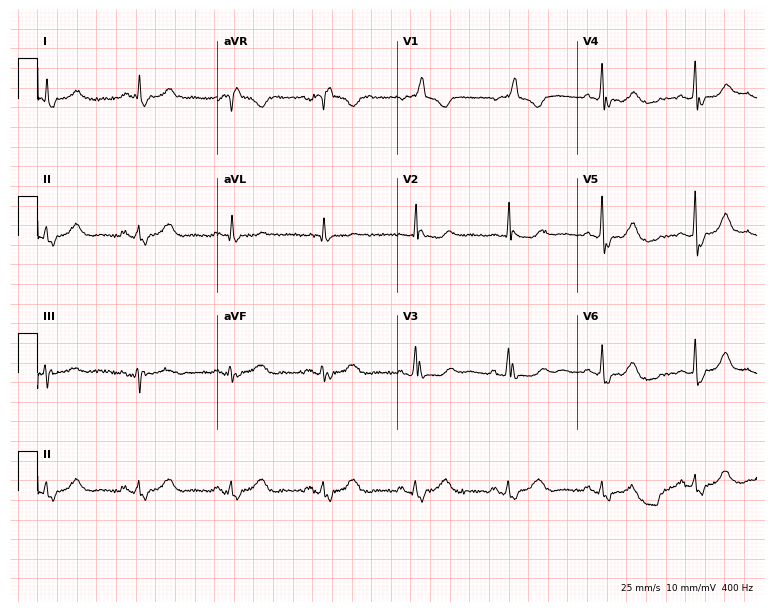
12-lead ECG (7.3-second recording at 400 Hz) from a male patient, 85 years old. Screened for six findings — first-degree AV block, right bundle branch block, left bundle branch block, sinus bradycardia, atrial fibrillation, sinus tachycardia — none is recorded. Other findings, if any, are not listed.